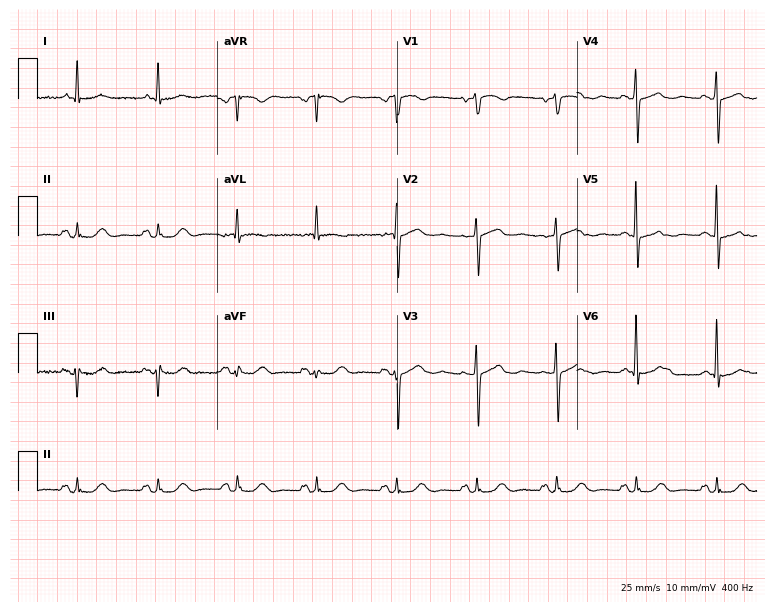
ECG (7.3-second recording at 400 Hz) — a female, 65 years old. Labelled as a normal ECG.